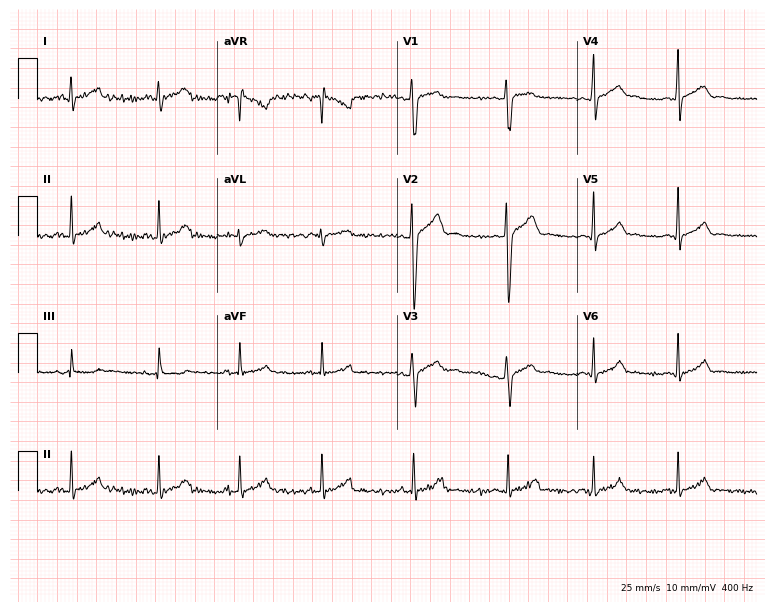
Standard 12-lead ECG recorded from a male, 18 years old (7.3-second recording at 400 Hz). None of these six findings is recorded: first-degree AV block, right bundle branch block, left bundle branch block, sinus bradycardia, atrial fibrillation, sinus tachycardia. Findings outside these six are not listed.